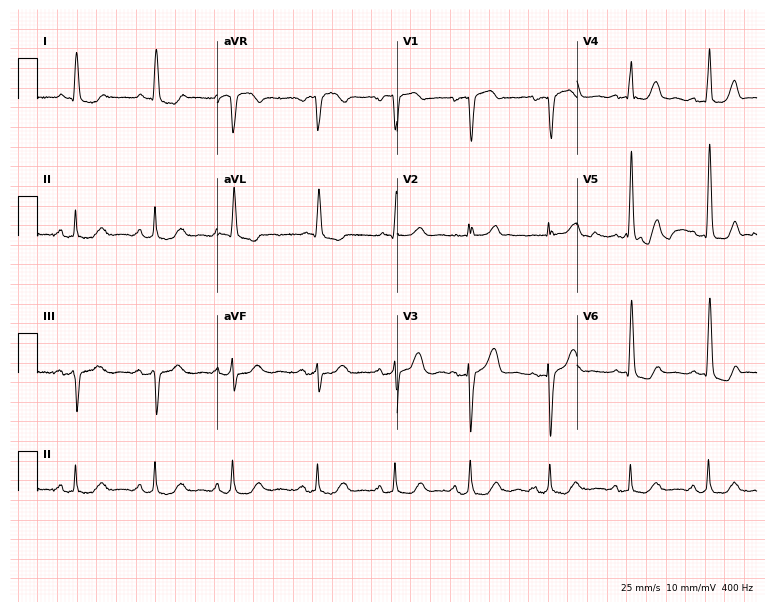
12-lead ECG from an 83-year-old woman. No first-degree AV block, right bundle branch block (RBBB), left bundle branch block (LBBB), sinus bradycardia, atrial fibrillation (AF) or sinus tachycardia recorded for this tracing. Other findings, if any, are not listed.